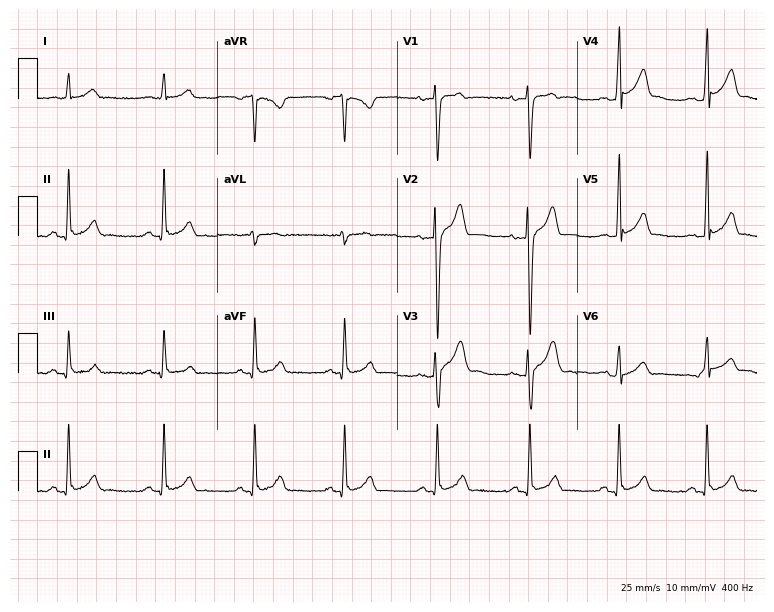
Electrocardiogram, a 28-year-old male. Overall reading on record: normal ECG.